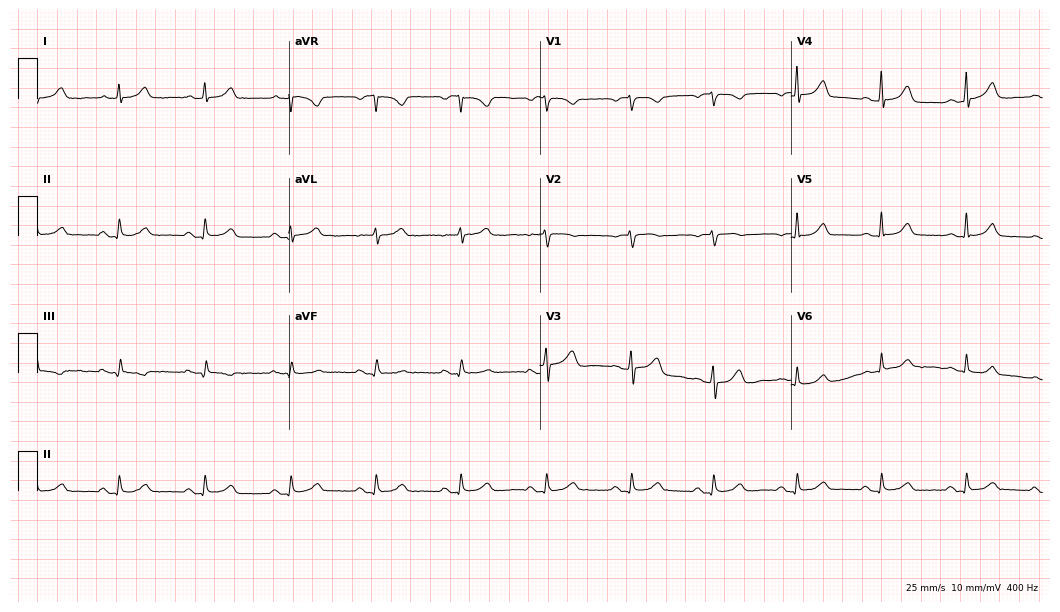
Resting 12-lead electrocardiogram. Patient: a female, 70 years old. Read as a normal ECG.